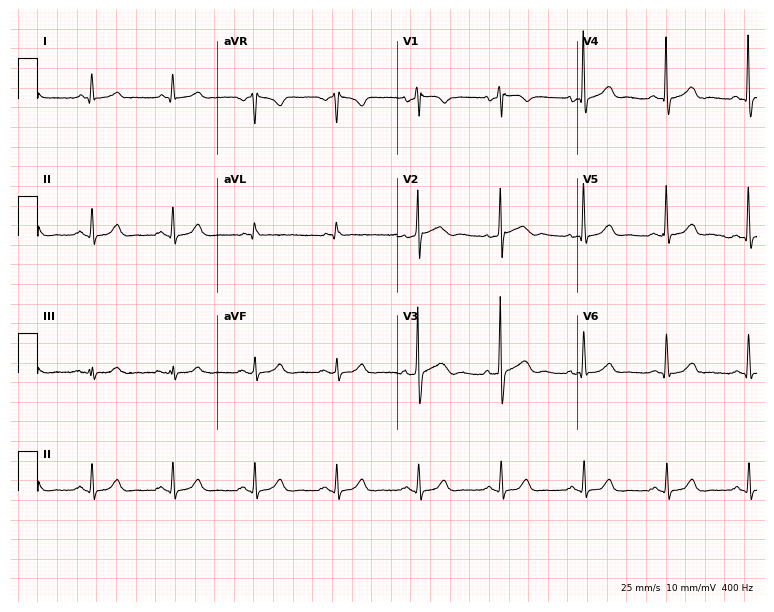
12-lead ECG from a male patient, 72 years old (7.3-second recording at 400 Hz). Recorded interpretation: within normal limits.